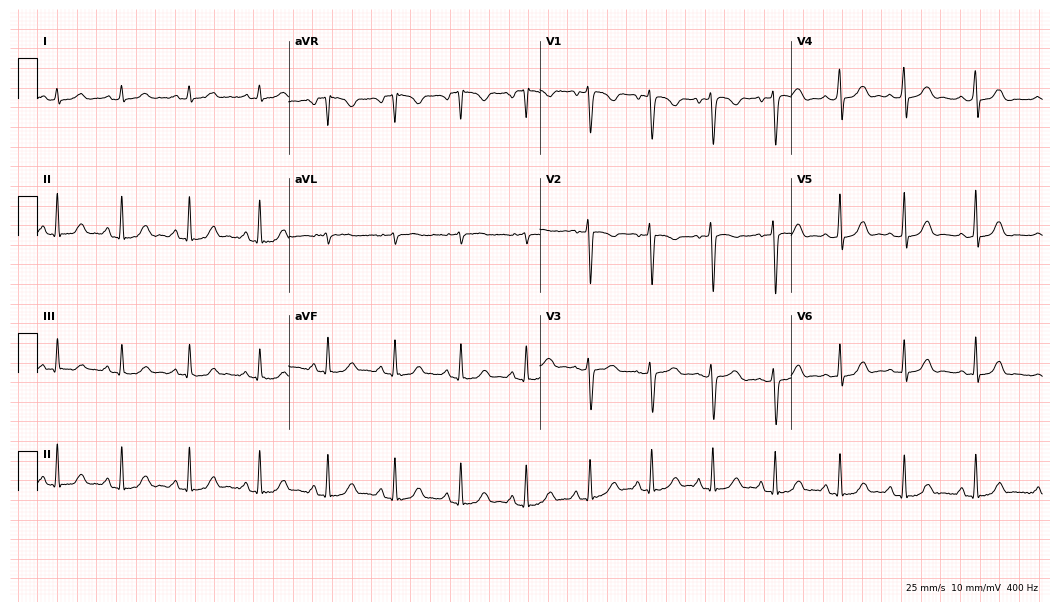
Standard 12-lead ECG recorded from a female patient, 18 years old. Read as a normal ECG.